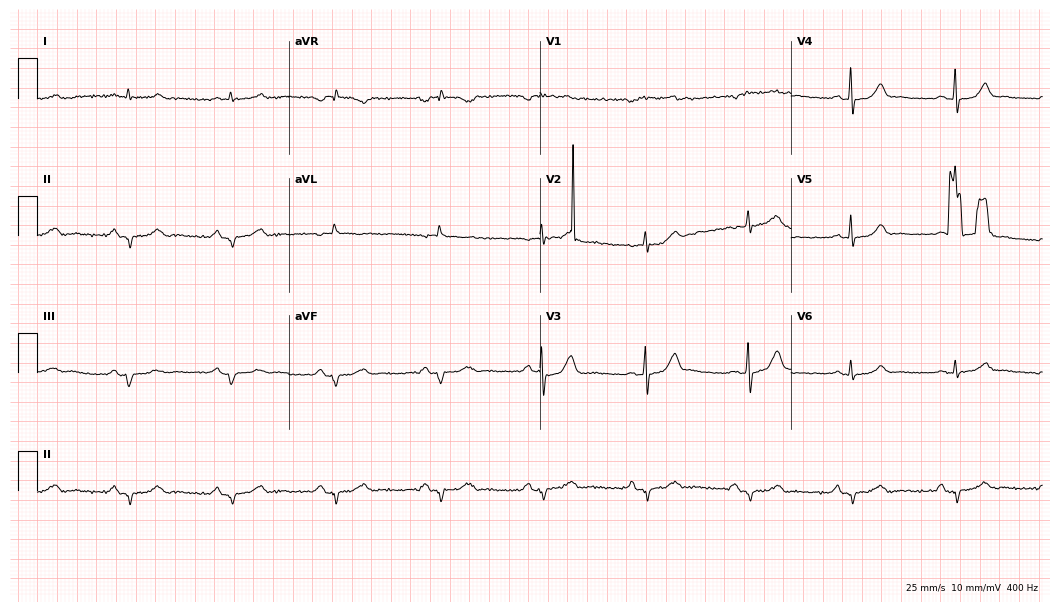
ECG (10.2-second recording at 400 Hz) — a male patient, 69 years old. Screened for six findings — first-degree AV block, right bundle branch block, left bundle branch block, sinus bradycardia, atrial fibrillation, sinus tachycardia — none is recorded. Only these six findings were labelled.